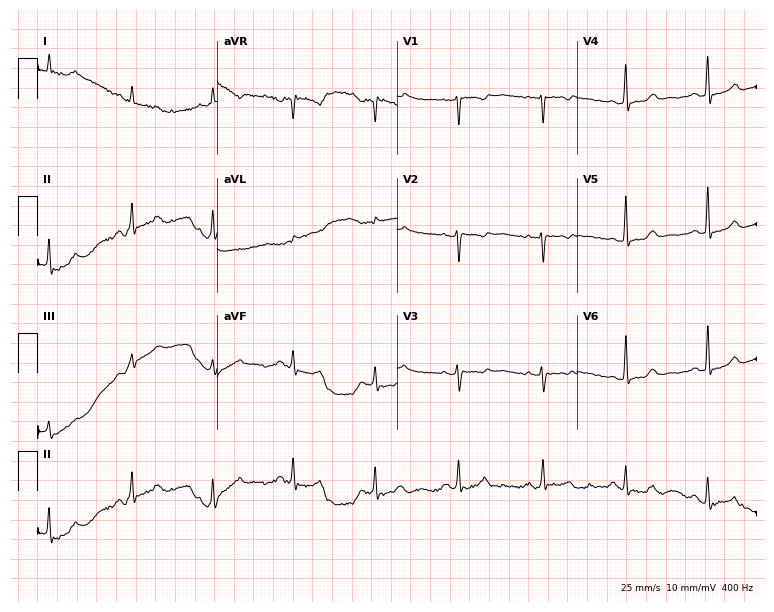
Standard 12-lead ECG recorded from a woman, 57 years old. None of these six findings is recorded: first-degree AV block, right bundle branch block (RBBB), left bundle branch block (LBBB), sinus bradycardia, atrial fibrillation (AF), sinus tachycardia. Other findings, if any, are not listed.